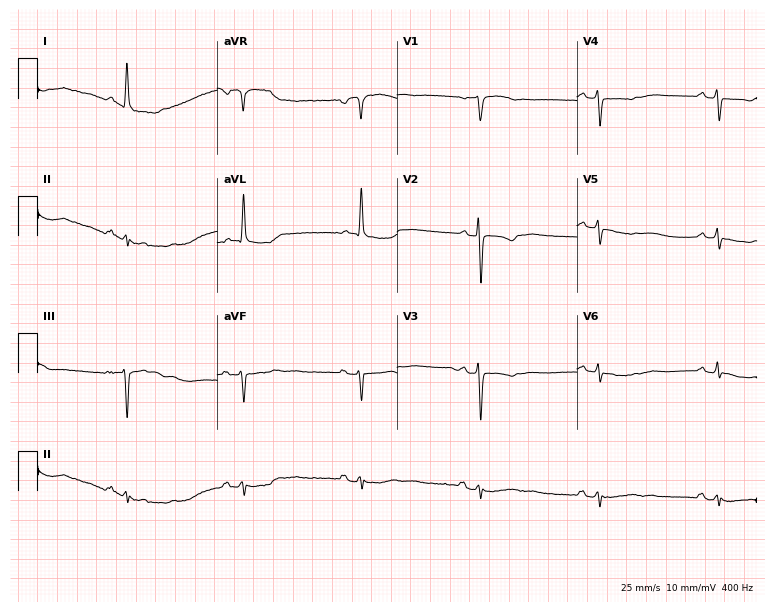
Resting 12-lead electrocardiogram (7.3-second recording at 400 Hz). Patient: an 85-year-old female. None of these six findings is recorded: first-degree AV block, right bundle branch block, left bundle branch block, sinus bradycardia, atrial fibrillation, sinus tachycardia. Only these six findings were labelled.